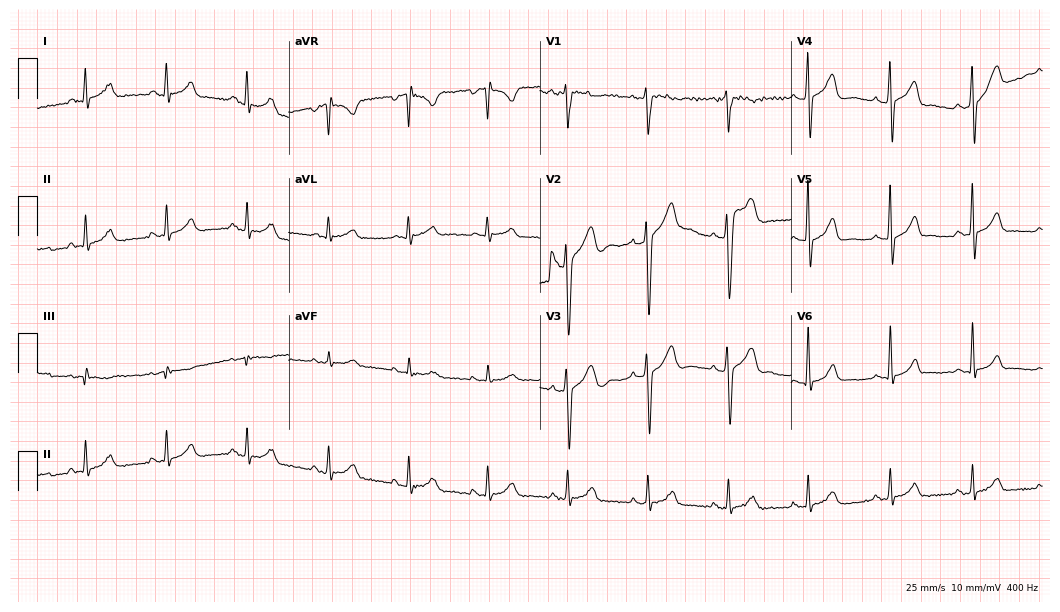
Resting 12-lead electrocardiogram. Patient: a 36-year-old male. Read as a normal ECG.